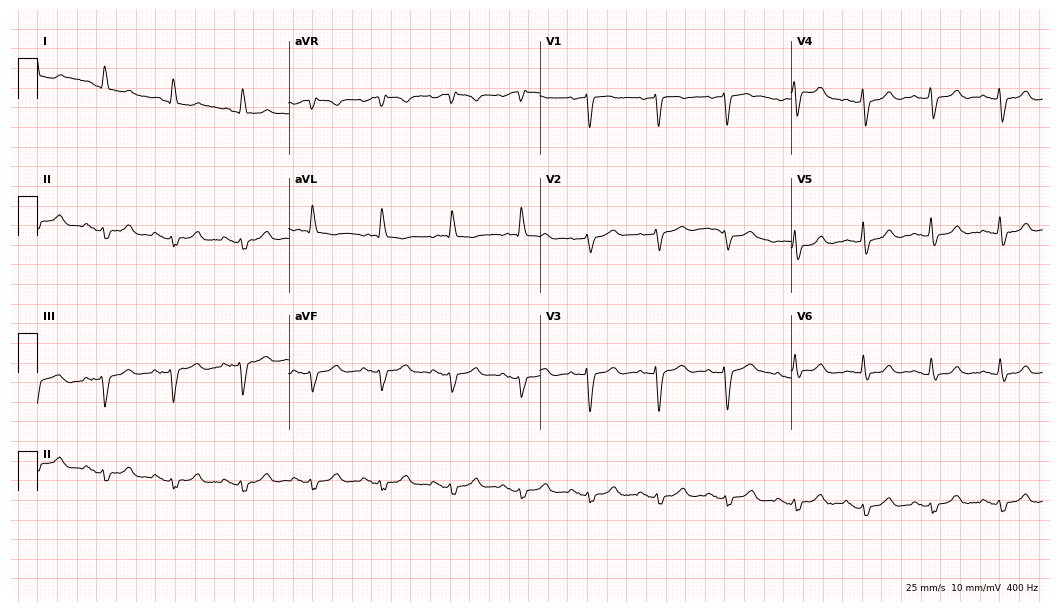
ECG (10.2-second recording at 400 Hz) — a woman, 79 years old. Screened for six findings — first-degree AV block, right bundle branch block, left bundle branch block, sinus bradycardia, atrial fibrillation, sinus tachycardia — none is recorded. Other findings, if any, are not listed.